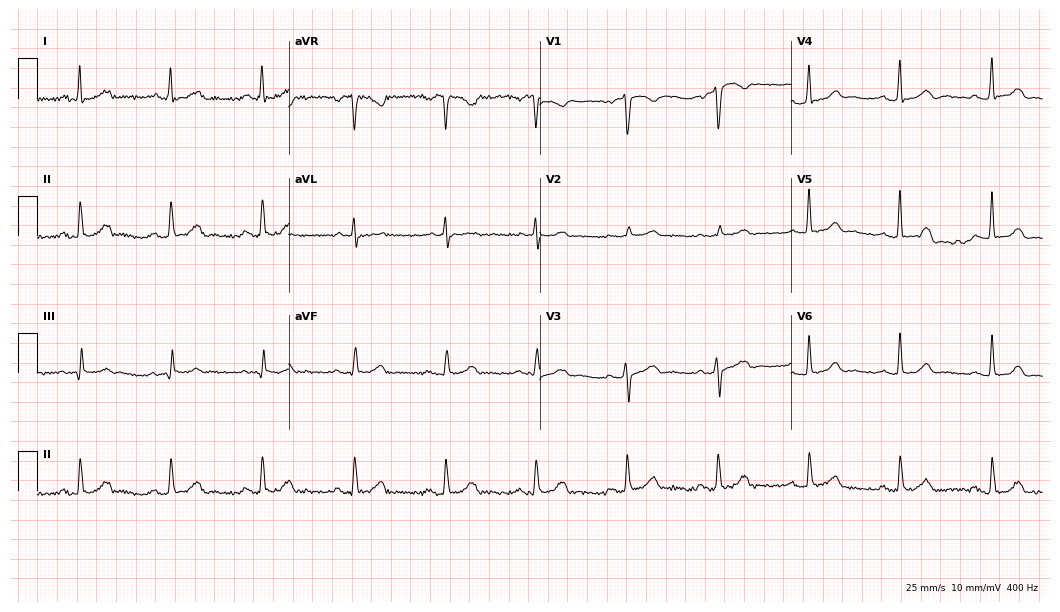
Electrocardiogram, a 53-year-old male patient. Overall reading on record: normal ECG.